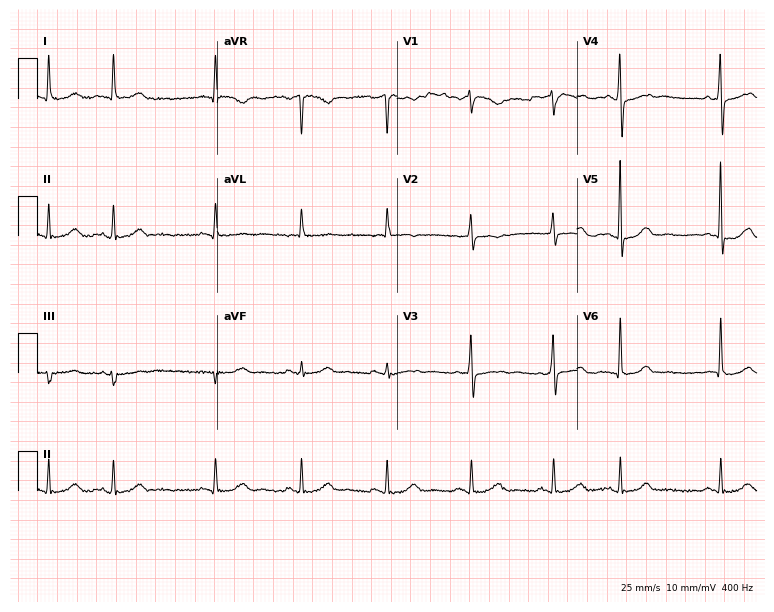
12-lead ECG from a woman, 80 years old (7.3-second recording at 400 Hz). No first-degree AV block, right bundle branch block, left bundle branch block, sinus bradycardia, atrial fibrillation or sinus tachycardia recorded for this tracing. Other findings, if any, are not listed.